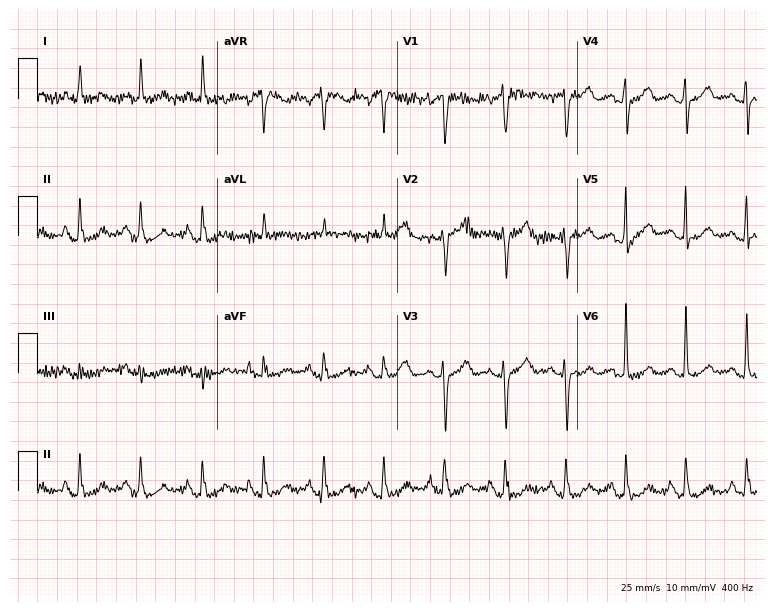
Electrocardiogram (7.3-second recording at 400 Hz), a 72-year-old woman. Overall reading on record: normal ECG.